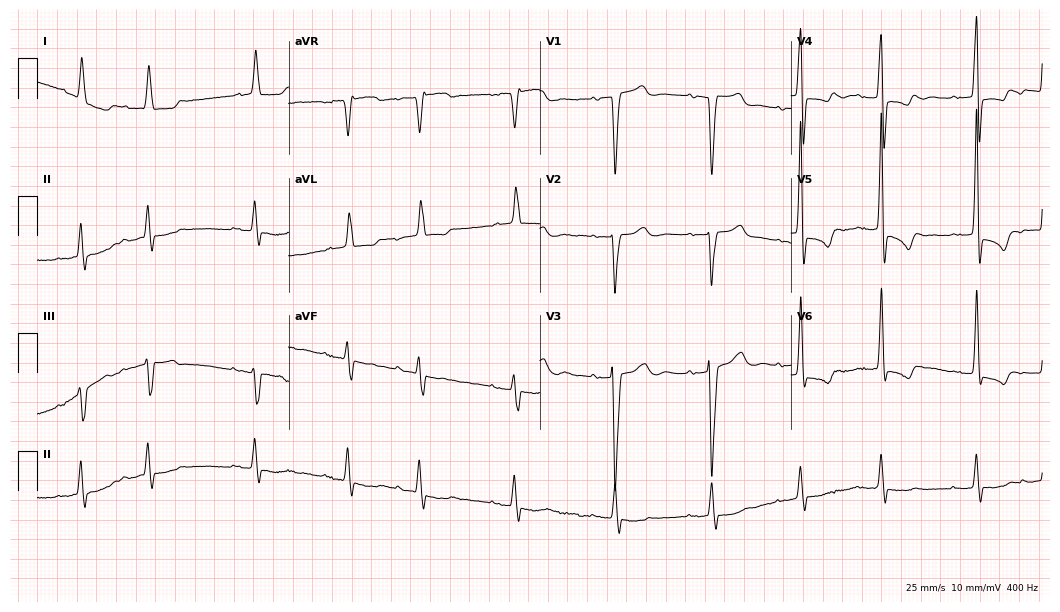
Resting 12-lead electrocardiogram. Patient: a female, 83 years old. The tracing shows first-degree AV block.